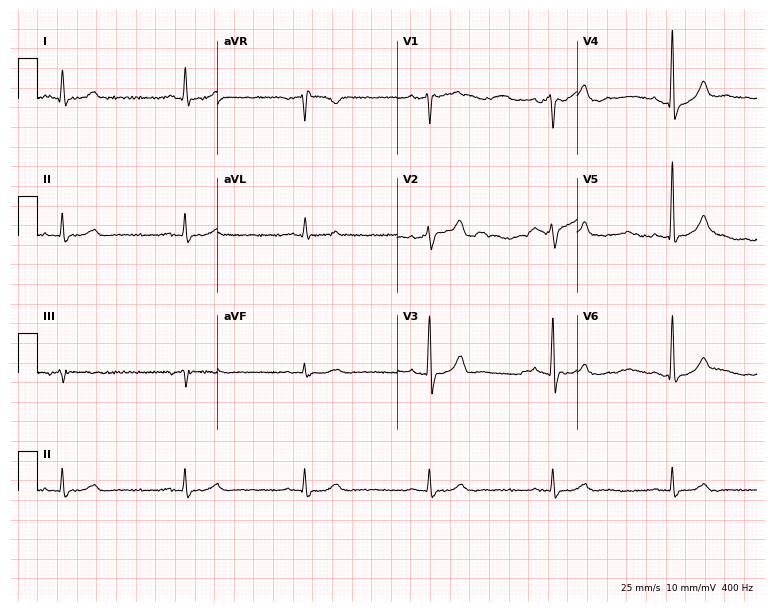
12-lead ECG from a male patient, 67 years old (7.3-second recording at 400 Hz). Shows sinus bradycardia (a sinus rate of 50 beats per minute or less).